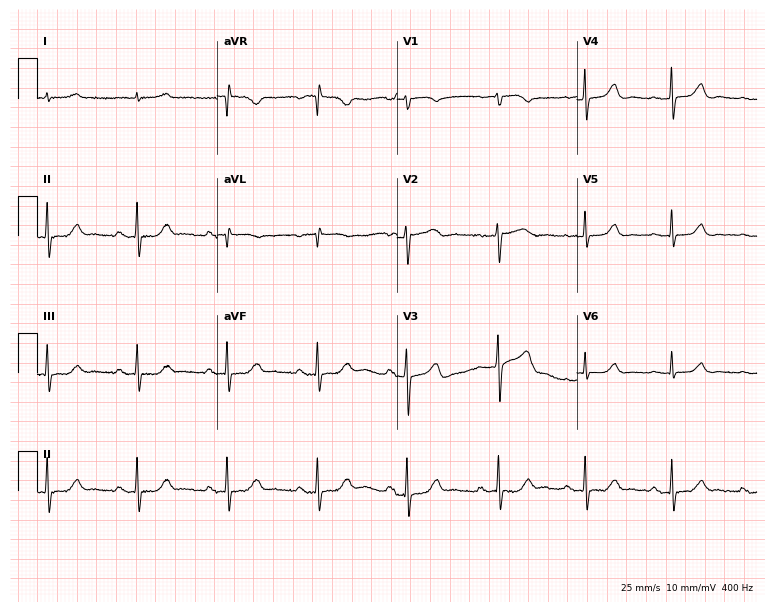
ECG (7.3-second recording at 400 Hz) — an 82-year-old male. Labelled as a normal ECG.